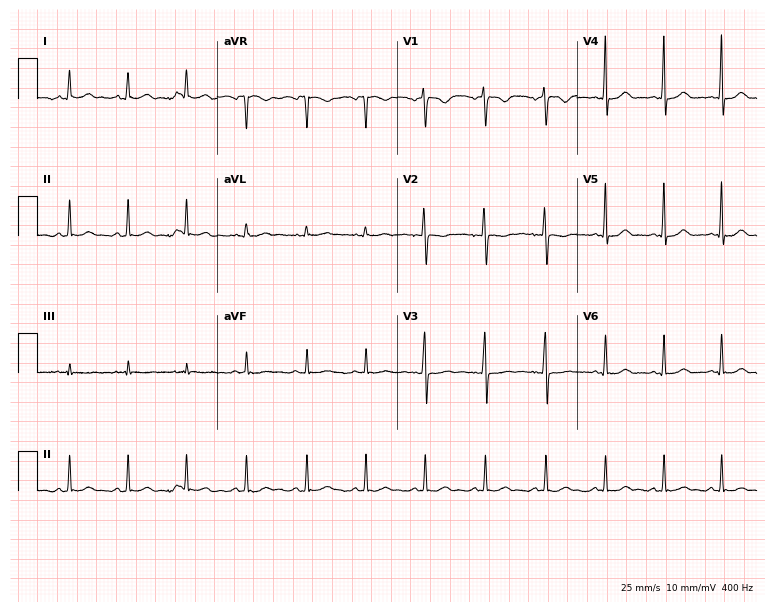
Resting 12-lead electrocardiogram. Patient: a female, 24 years old. None of these six findings is recorded: first-degree AV block, right bundle branch block, left bundle branch block, sinus bradycardia, atrial fibrillation, sinus tachycardia.